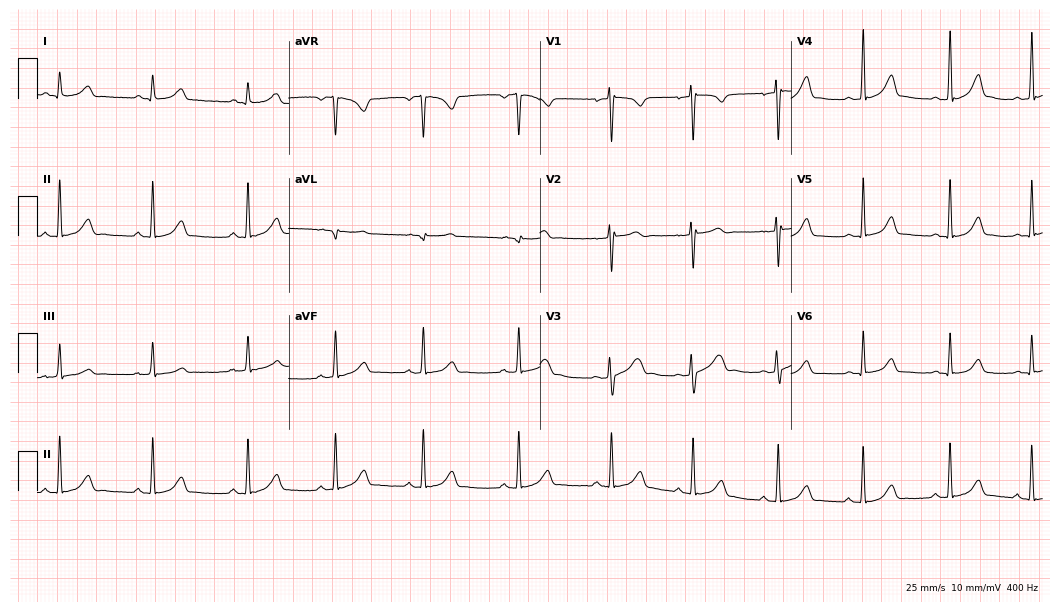
Standard 12-lead ECG recorded from a woman, 26 years old. Read as a normal ECG.